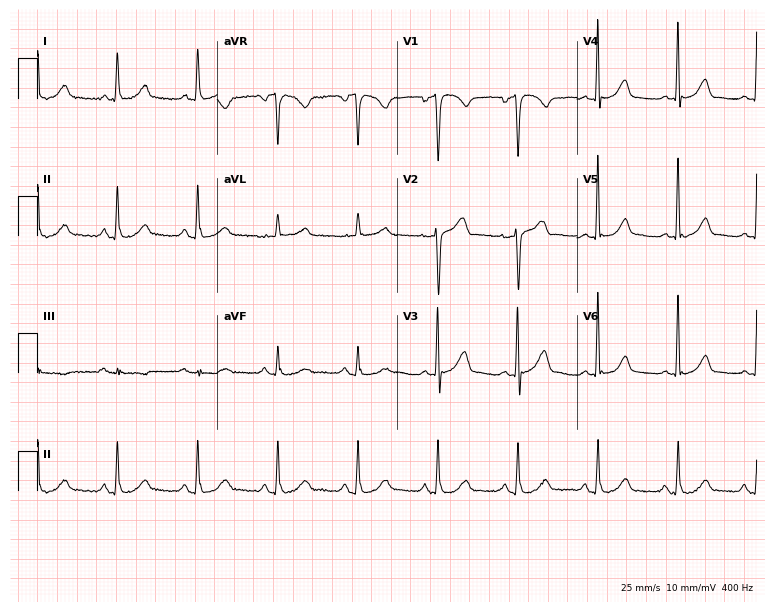
12-lead ECG from an 83-year-old man. Recorded interpretation: within normal limits.